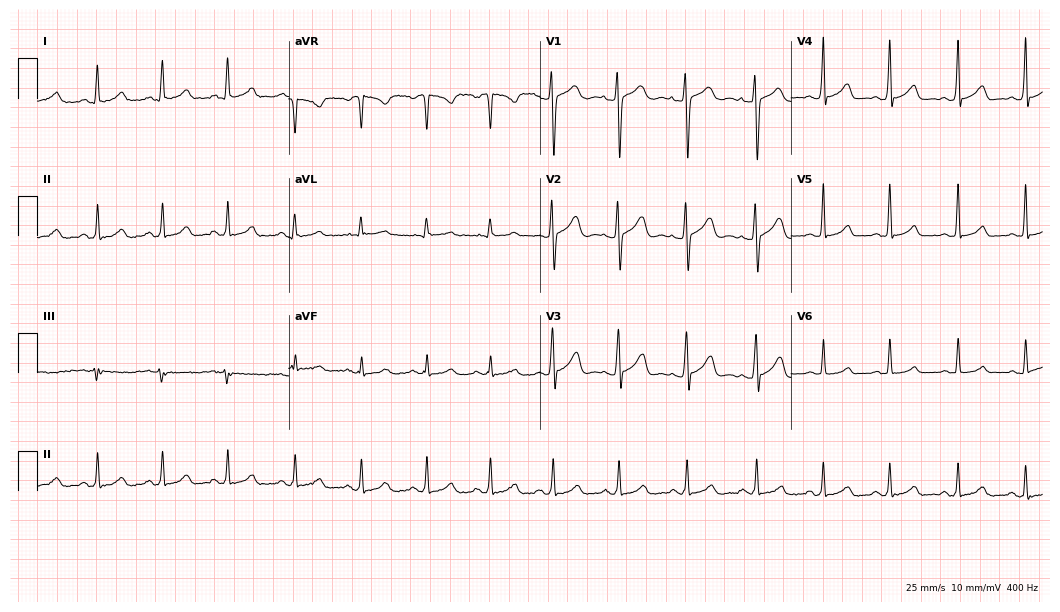
ECG (10.2-second recording at 400 Hz) — a 28-year-old female. Screened for six findings — first-degree AV block, right bundle branch block, left bundle branch block, sinus bradycardia, atrial fibrillation, sinus tachycardia — none is recorded.